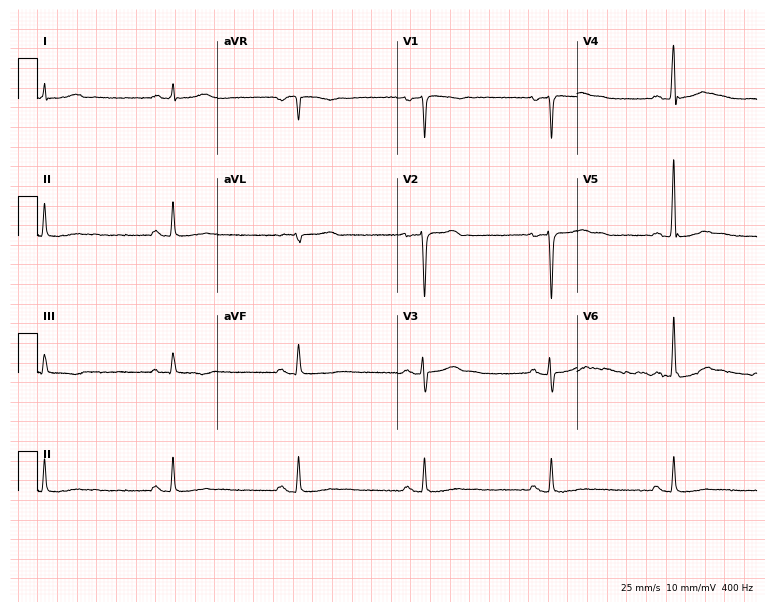
12-lead ECG from a 45-year-old male. Shows sinus bradycardia (a sinus rate of 50 beats per minute or less).